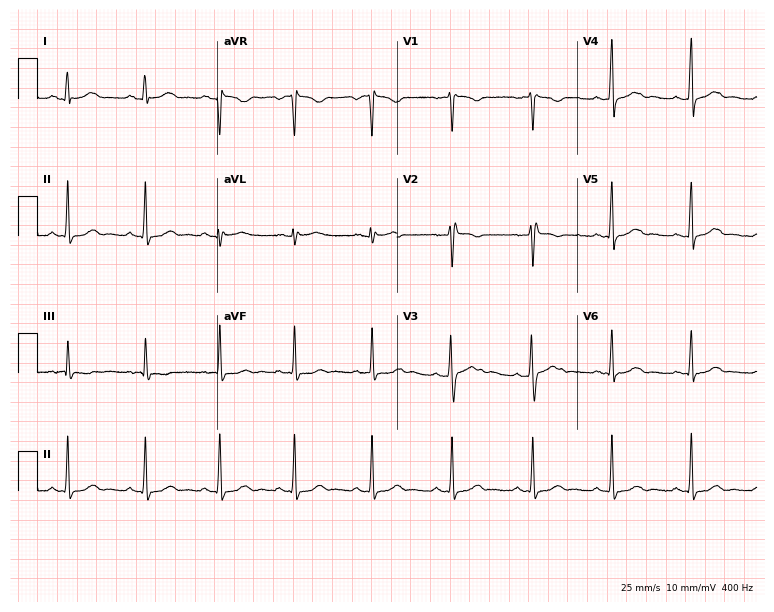
ECG — a woman, 28 years old. Screened for six findings — first-degree AV block, right bundle branch block, left bundle branch block, sinus bradycardia, atrial fibrillation, sinus tachycardia — none is recorded. Only these six findings were labelled.